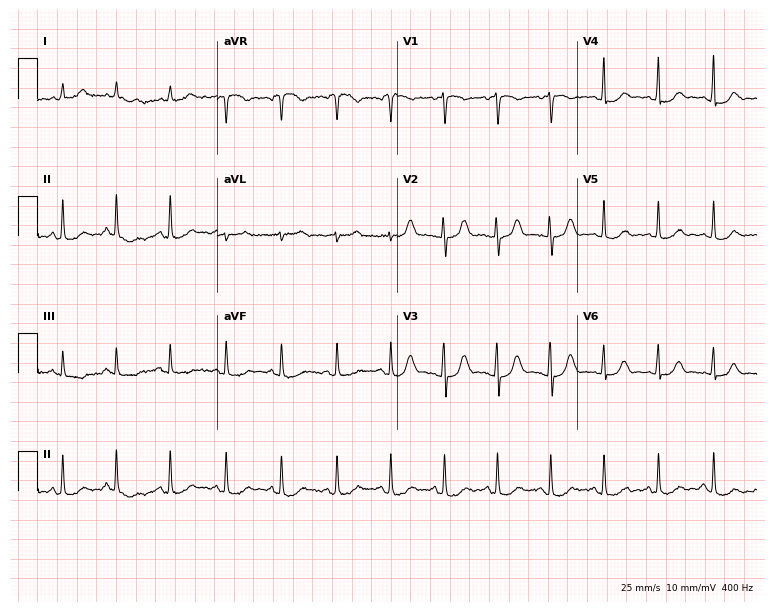
Electrocardiogram, a female patient, 35 years old. Interpretation includes sinus tachycardia (a sinus rate of 100 beats per minute or more).